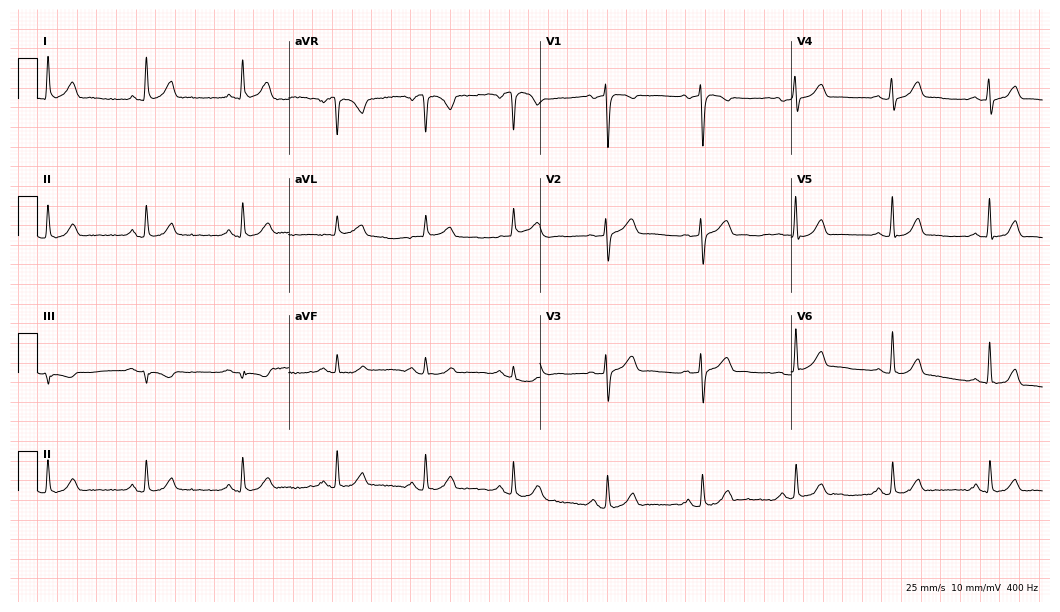
12-lead ECG from a female patient, 59 years old (10.2-second recording at 400 Hz). Recorded interpretation: within normal limits.